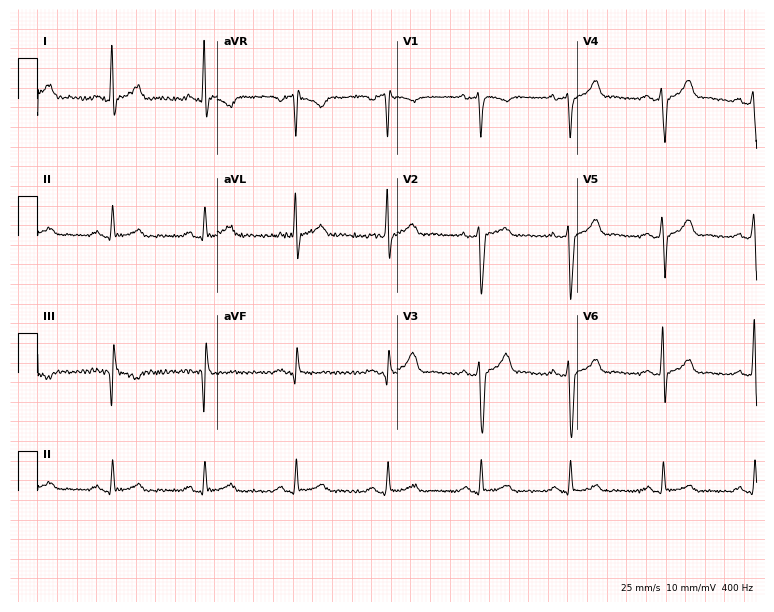
Electrocardiogram, a male, 36 years old. Of the six screened findings (first-degree AV block, right bundle branch block, left bundle branch block, sinus bradycardia, atrial fibrillation, sinus tachycardia), none is recorded. Only these six findings were labelled.